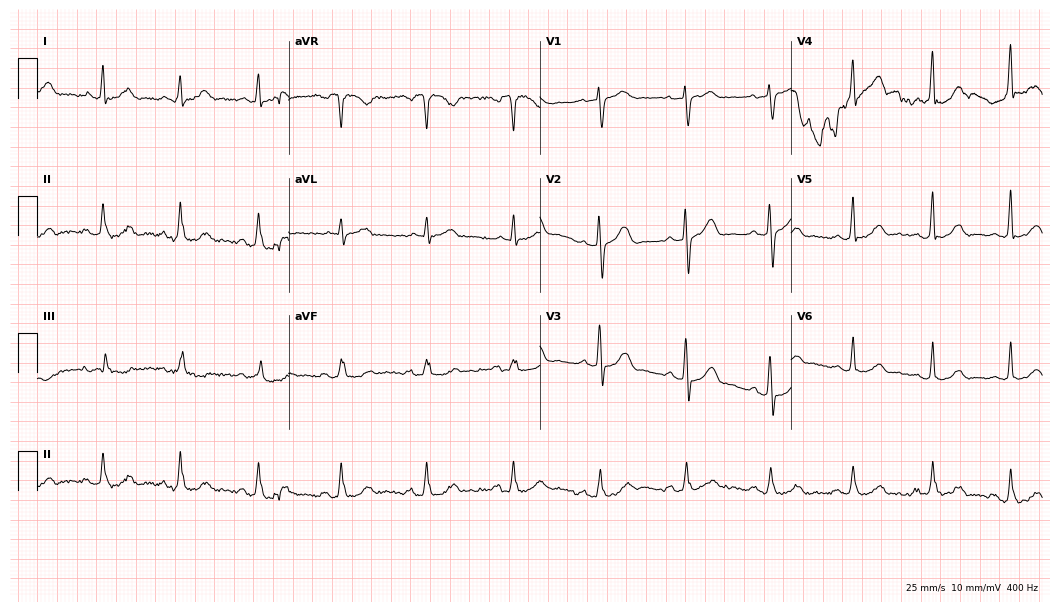
Standard 12-lead ECG recorded from a female, 62 years old. None of these six findings is recorded: first-degree AV block, right bundle branch block, left bundle branch block, sinus bradycardia, atrial fibrillation, sinus tachycardia. Other findings, if any, are not listed.